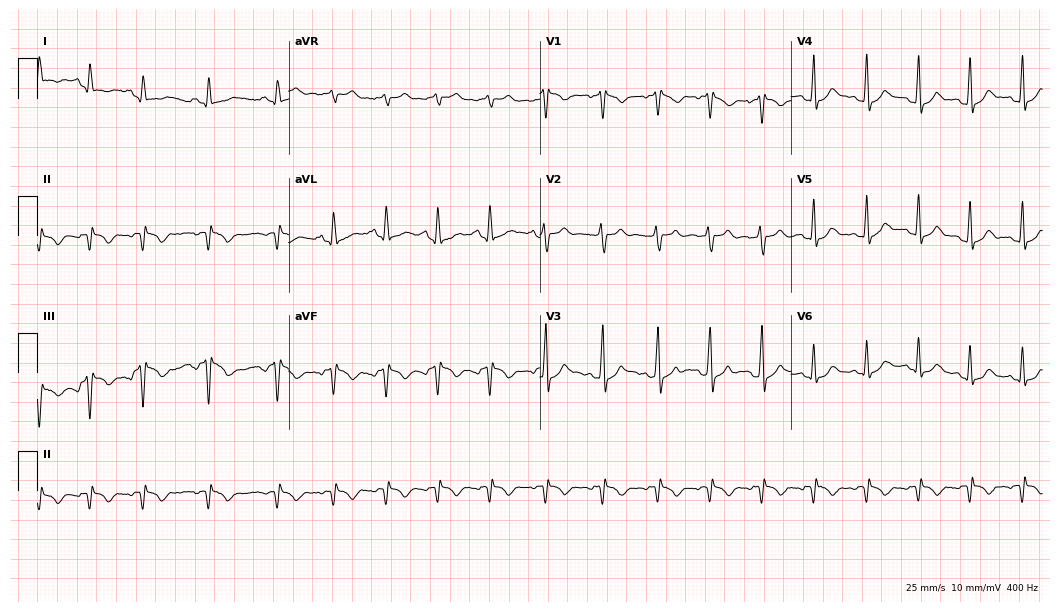
Standard 12-lead ECG recorded from a woman, 18 years old. None of these six findings is recorded: first-degree AV block, right bundle branch block (RBBB), left bundle branch block (LBBB), sinus bradycardia, atrial fibrillation (AF), sinus tachycardia. Only these six findings were labelled.